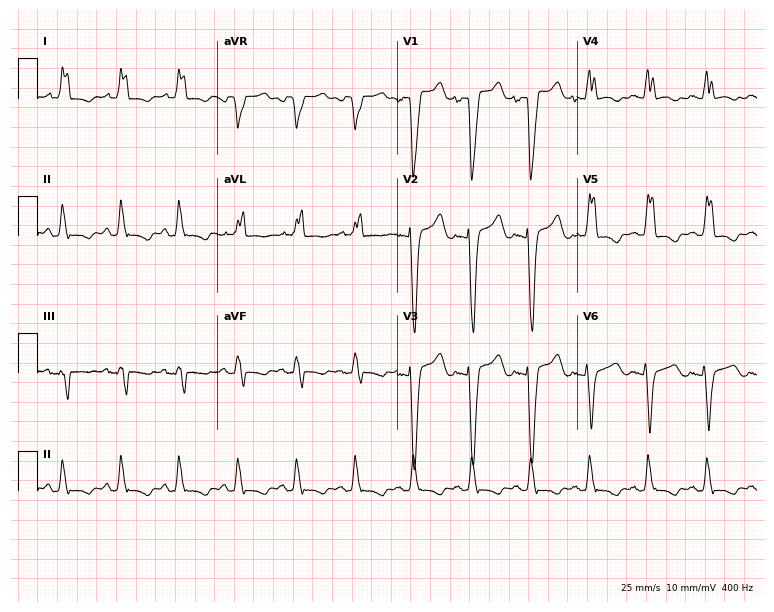
12-lead ECG from a woman, 70 years old (7.3-second recording at 400 Hz). Shows left bundle branch block (LBBB).